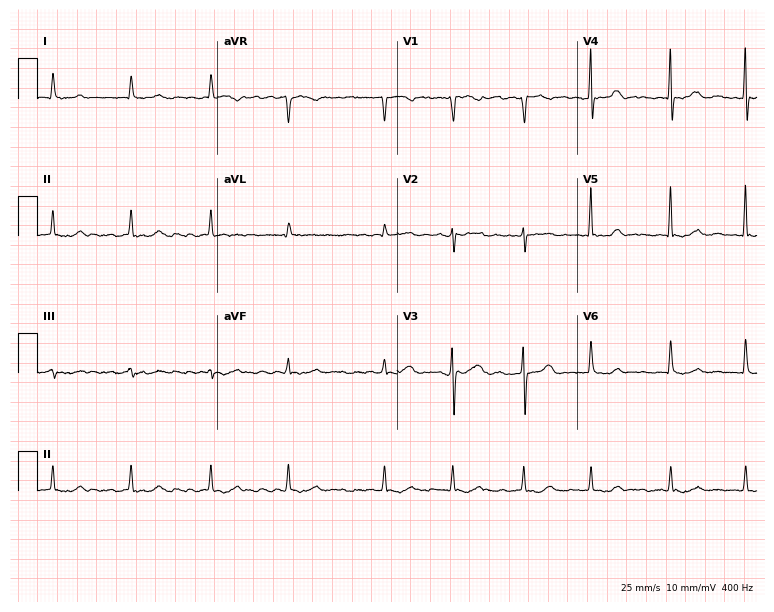
12-lead ECG from an 80-year-old male. Shows atrial fibrillation.